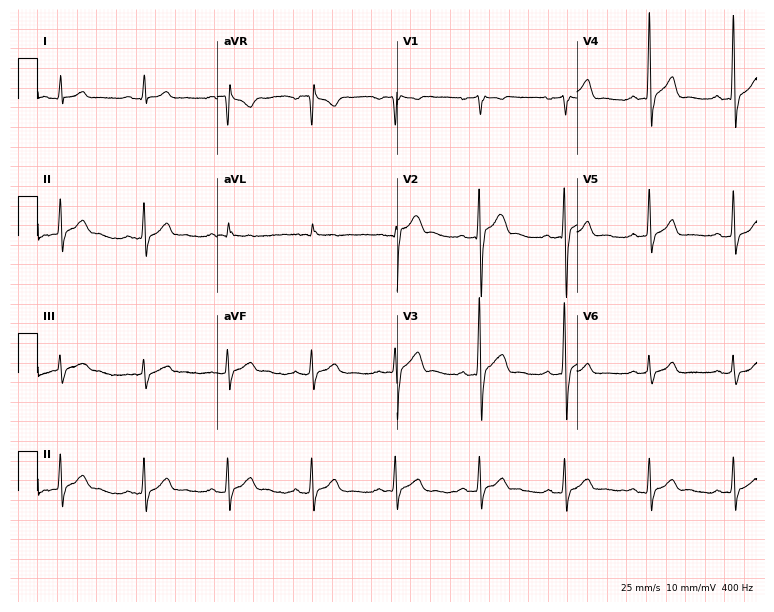
12-lead ECG (7.3-second recording at 400 Hz) from a man, 49 years old. Labelled as a normal ECG.